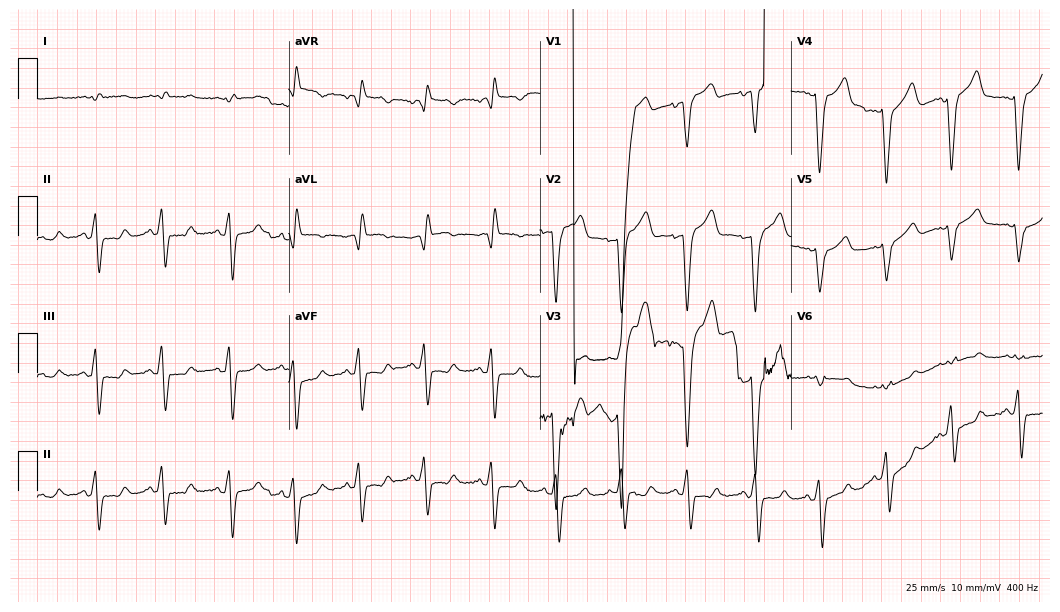
Resting 12-lead electrocardiogram. Patient: an 82-year-old male. None of these six findings is recorded: first-degree AV block, right bundle branch block, left bundle branch block, sinus bradycardia, atrial fibrillation, sinus tachycardia.